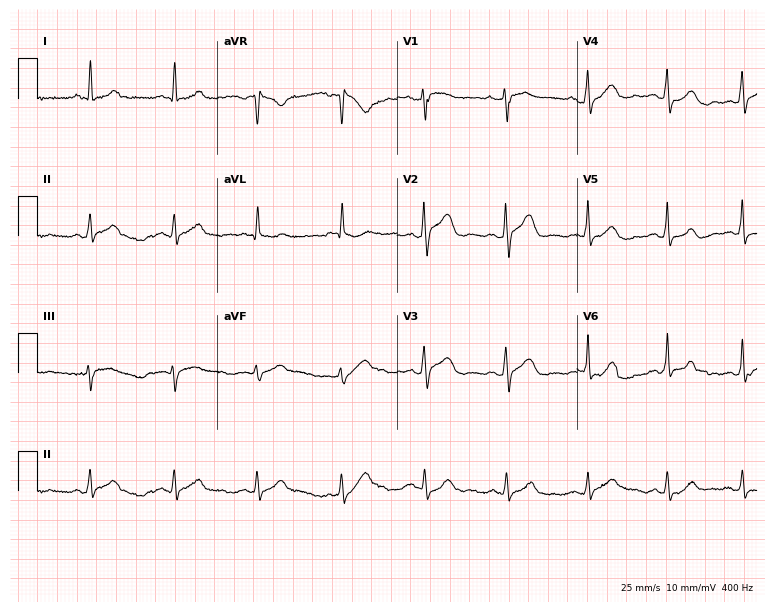
12-lead ECG from a 55-year-old female patient (7.3-second recording at 400 Hz). Recorded interpretation: within normal limits.